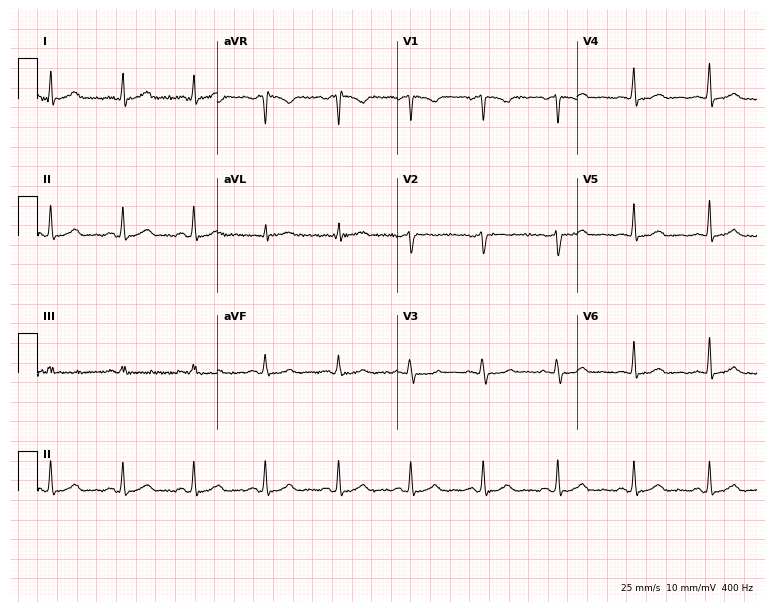
12-lead ECG from a 38-year-old female patient. Screened for six findings — first-degree AV block, right bundle branch block, left bundle branch block, sinus bradycardia, atrial fibrillation, sinus tachycardia — none is recorded.